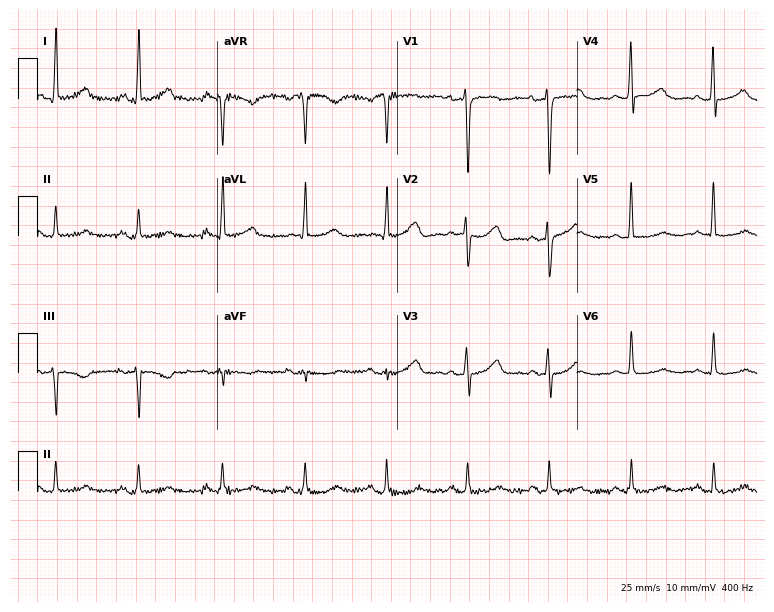
12-lead ECG from a woman, 56 years old (7.3-second recording at 400 Hz). No first-degree AV block, right bundle branch block, left bundle branch block, sinus bradycardia, atrial fibrillation or sinus tachycardia recorded for this tracing.